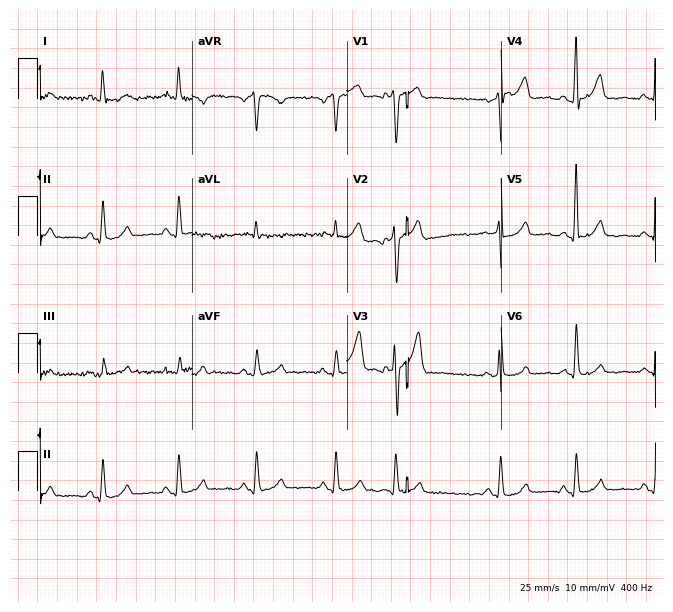
Standard 12-lead ECG recorded from a male, 58 years old (6.3-second recording at 400 Hz). None of these six findings is recorded: first-degree AV block, right bundle branch block (RBBB), left bundle branch block (LBBB), sinus bradycardia, atrial fibrillation (AF), sinus tachycardia. Only these six findings were labelled.